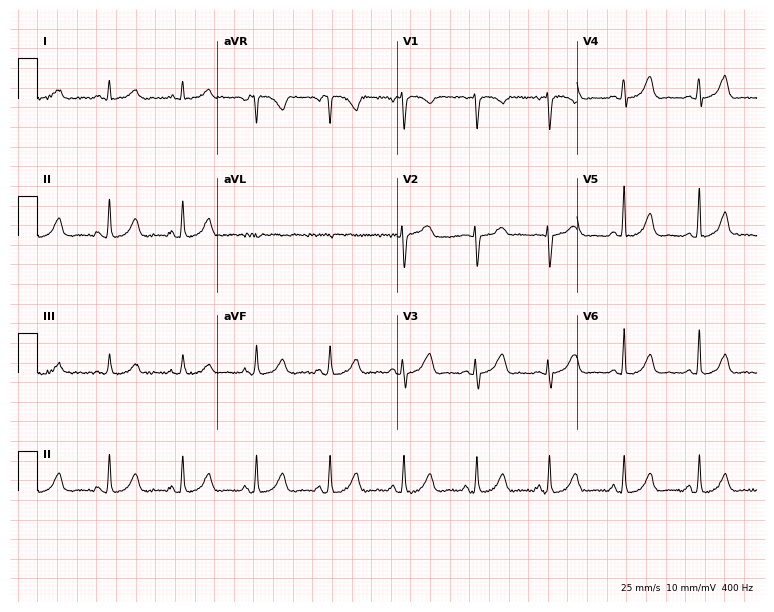
Standard 12-lead ECG recorded from a woman, 33 years old (7.3-second recording at 400 Hz). Read as a normal ECG.